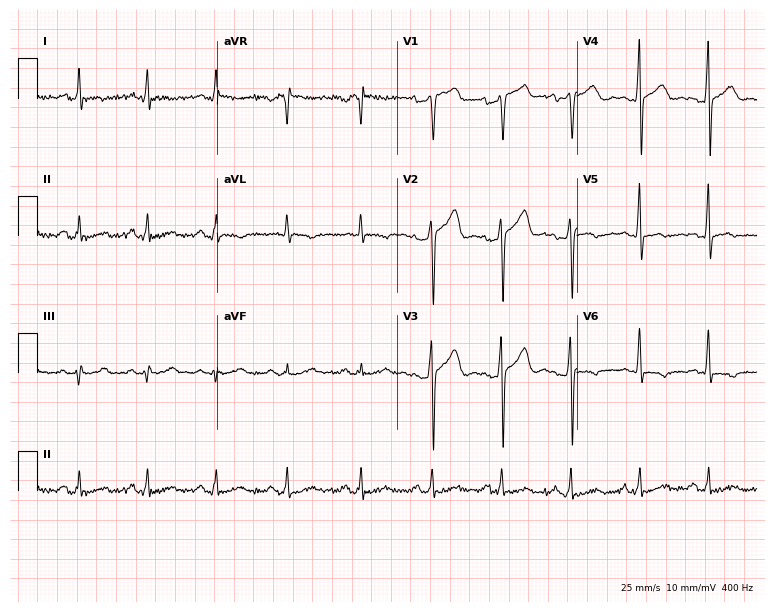
12-lead ECG from a man, 44 years old. No first-degree AV block, right bundle branch block (RBBB), left bundle branch block (LBBB), sinus bradycardia, atrial fibrillation (AF) or sinus tachycardia recorded for this tracing. Only these six findings were labelled.